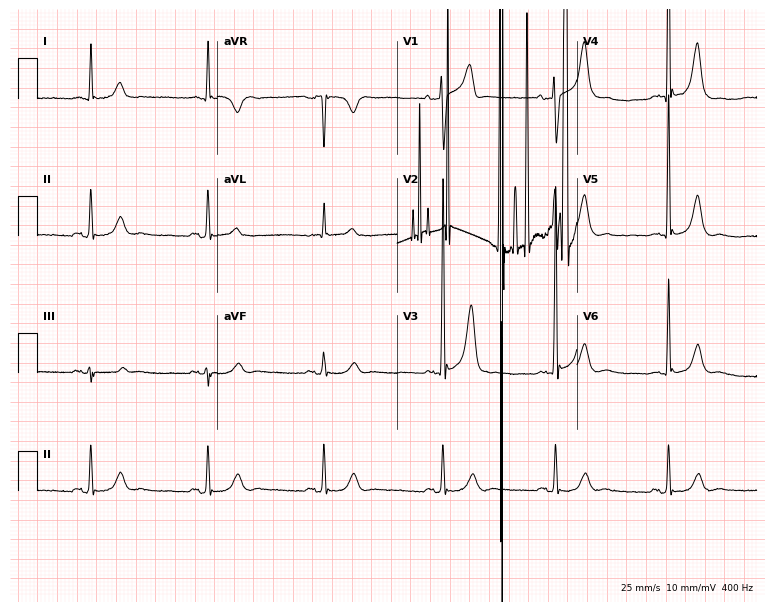
Electrocardiogram, a man, 79 years old. Of the six screened findings (first-degree AV block, right bundle branch block, left bundle branch block, sinus bradycardia, atrial fibrillation, sinus tachycardia), none is recorded. Only these six findings were labelled.